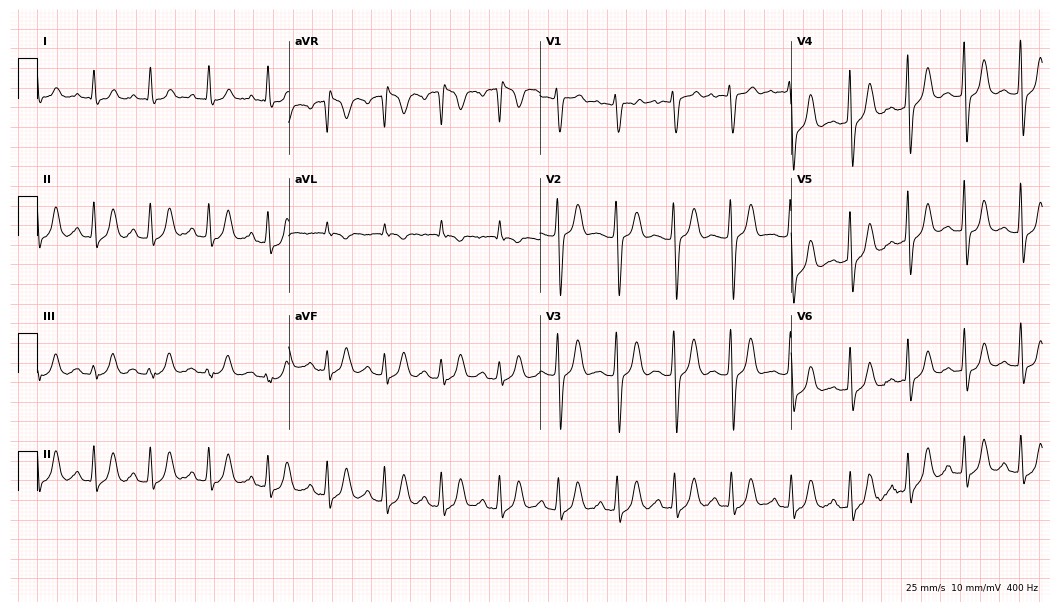
12-lead ECG from a 36-year-old woman (10.2-second recording at 400 Hz). Shows sinus tachycardia (a sinus rate of 100 beats per minute or more).